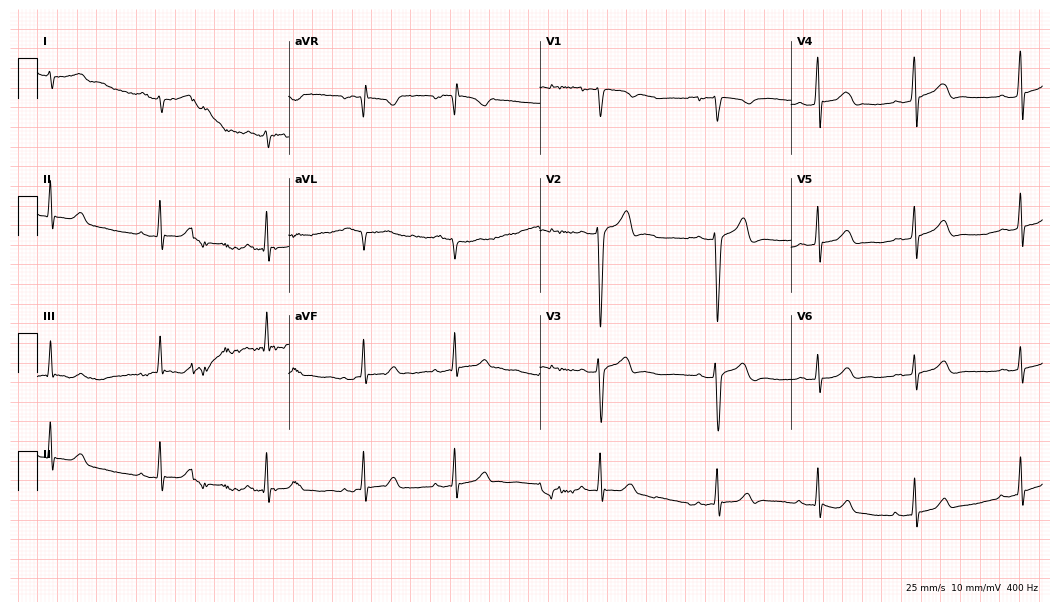
12-lead ECG (10.2-second recording at 400 Hz) from a male, 22 years old. Screened for six findings — first-degree AV block, right bundle branch block, left bundle branch block, sinus bradycardia, atrial fibrillation, sinus tachycardia — none is recorded. Other findings, if any, are not listed.